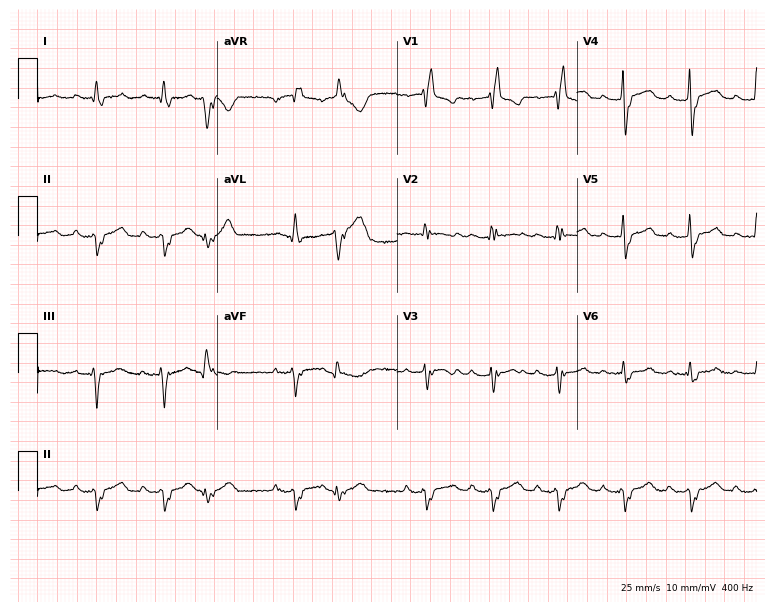
12-lead ECG (7.3-second recording at 400 Hz) from a man, 59 years old. Findings include right bundle branch block.